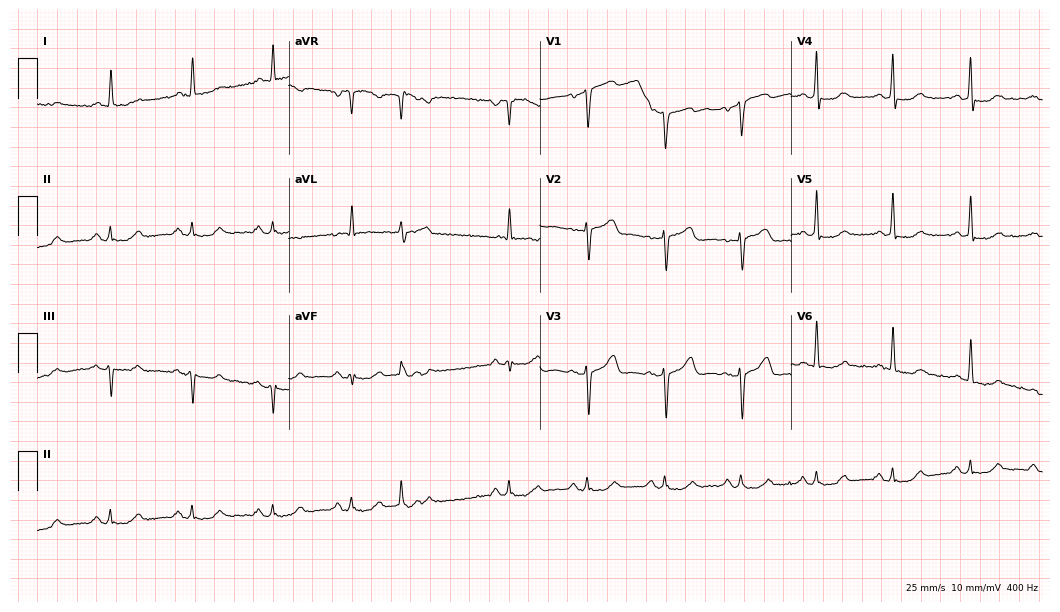
Electrocardiogram (10.2-second recording at 400 Hz), a 74-year-old female patient. Of the six screened findings (first-degree AV block, right bundle branch block, left bundle branch block, sinus bradycardia, atrial fibrillation, sinus tachycardia), none is recorded.